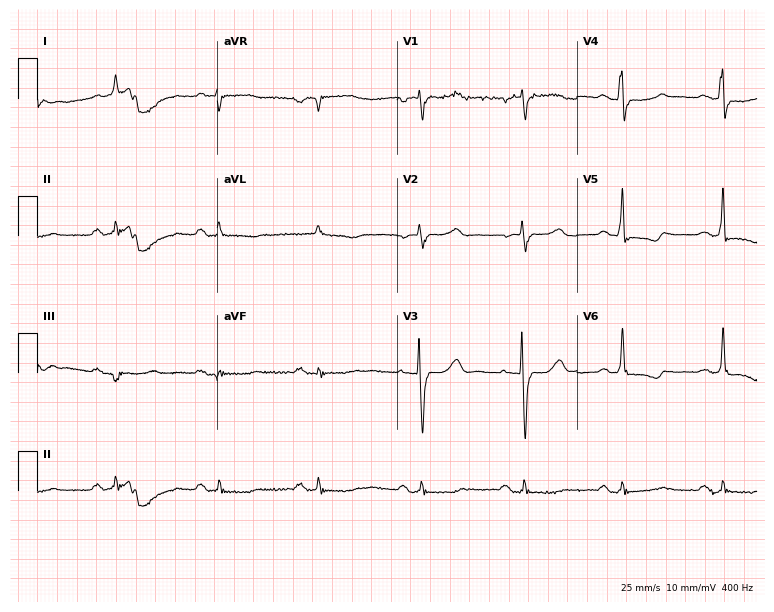
Resting 12-lead electrocardiogram (7.3-second recording at 400 Hz). Patient: a female, 58 years old. The tracing shows left bundle branch block.